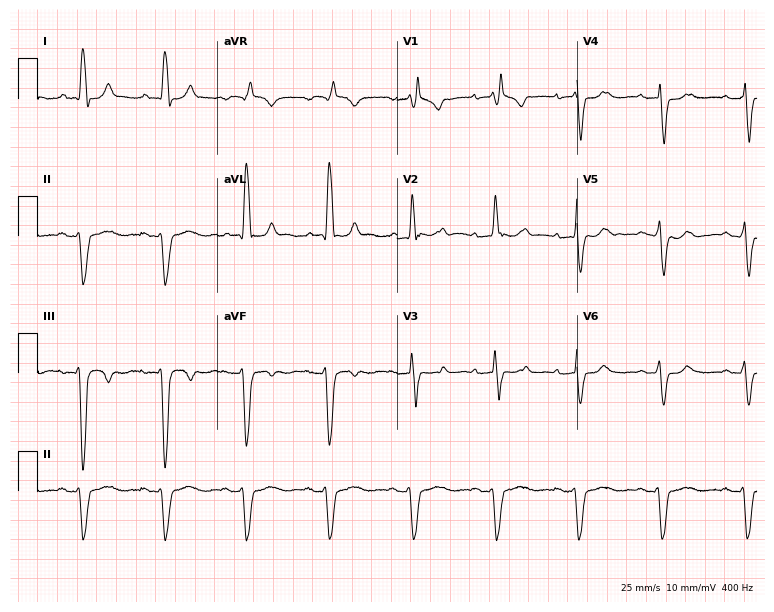
12-lead ECG from a female, 58 years old. Findings include right bundle branch block.